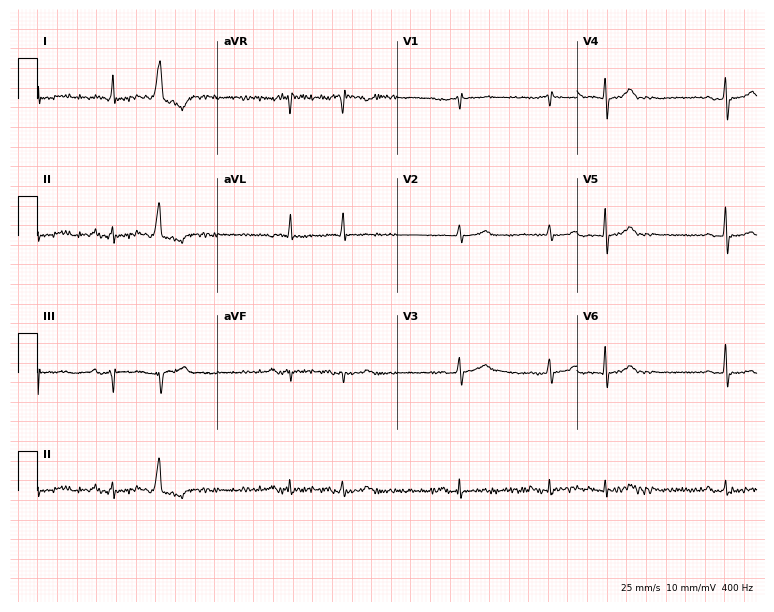
12-lead ECG from an 83-year-old male patient. Findings include atrial fibrillation.